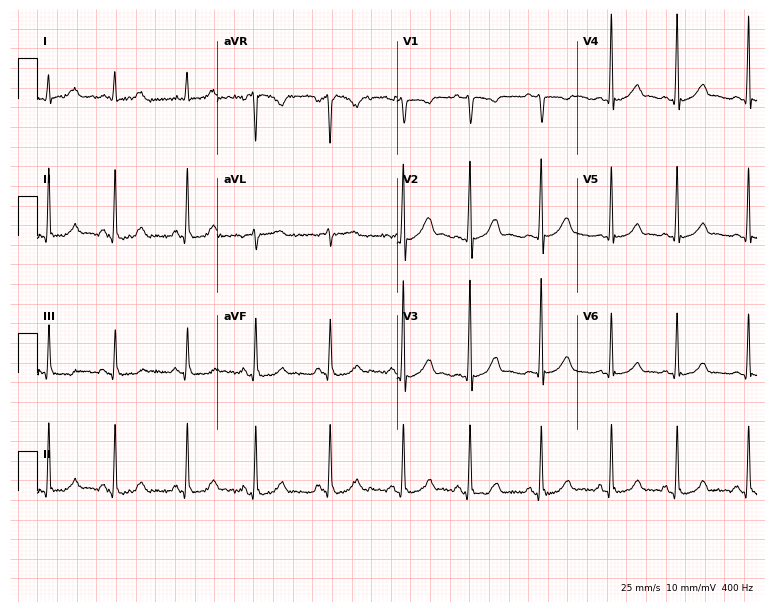
Standard 12-lead ECG recorded from a 21-year-old woman. Read as a normal ECG.